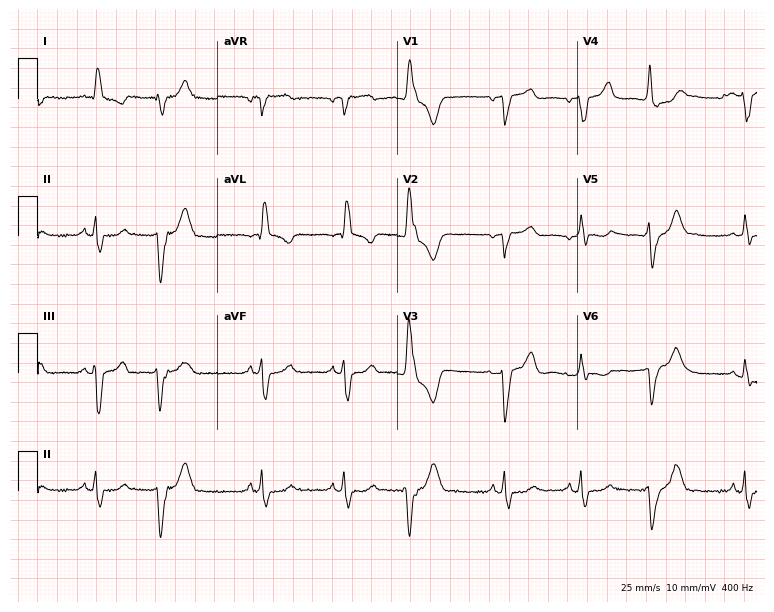
Standard 12-lead ECG recorded from an 84-year-old female (7.3-second recording at 400 Hz). None of these six findings is recorded: first-degree AV block, right bundle branch block (RBBB), left bundle branch block (LBBB), sinus bradycardia, atrial fibrillation (AF), sinus tachycardia. Only these six findings were labelled.